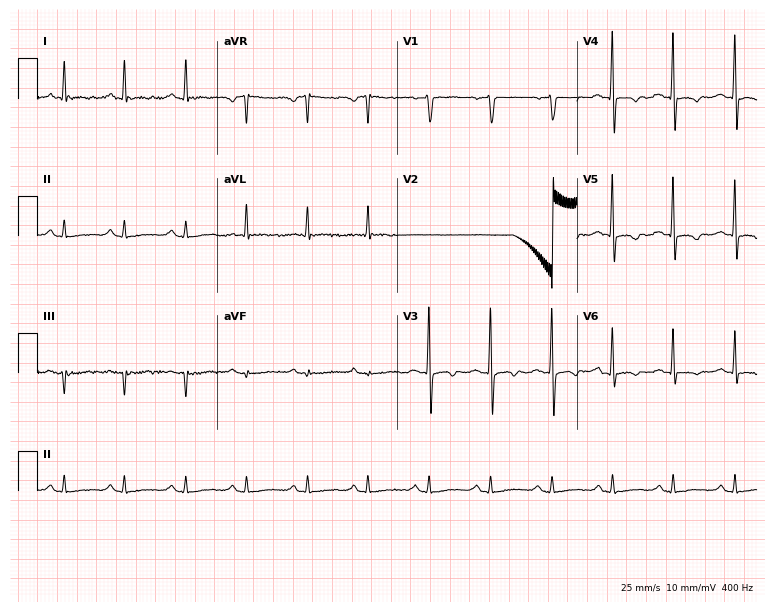
Electrocardiogram, a 56-year-old male. Of the six screened findings (first-degree AV block, right bundle branch block (RBBB), left bundle branch block (LBBB), sinus bradycardia, atrial fibrillation (AF), sinus tachycardia), none is recorded. Other findings, if any, are not listed.